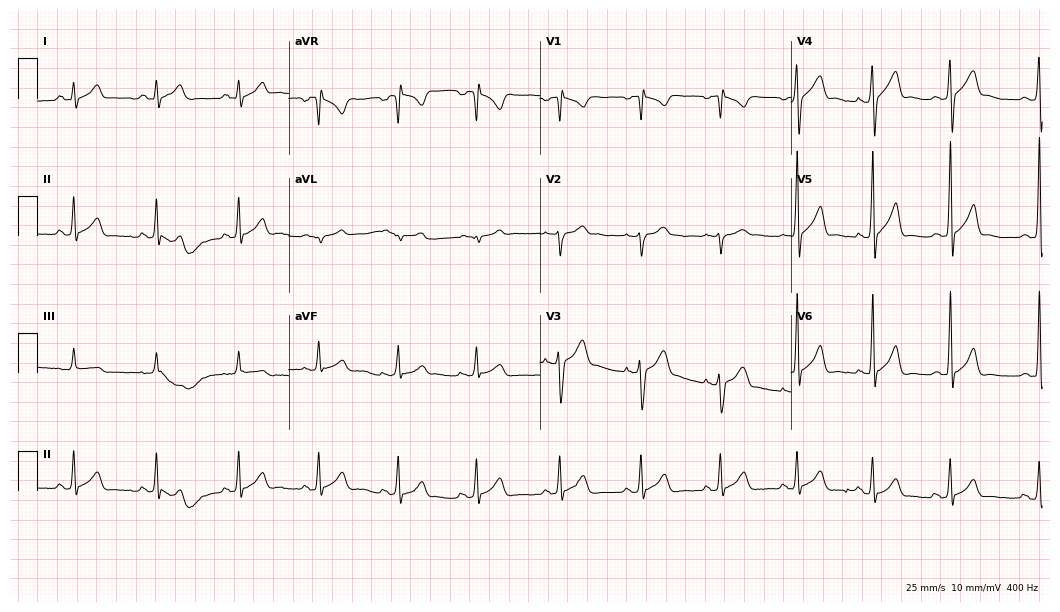
ECG (10.2-second recording at 400 Hz) — a 21-year-old male patient. Labelled as a normal ECG.